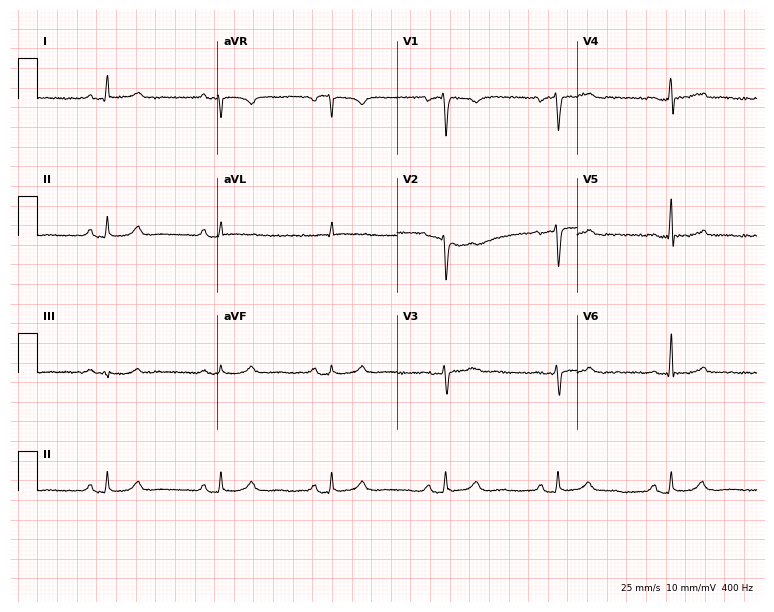
Resting 12-lead electrocardiogram. Patient: a 50-year-old woman. None of these six findings is recorded: first-degree AV block, right bundle branch block (RBBB), left bundle branch block (LBBB), sinus bradycardia, atrial fibrillation (AF), sinus tachycardia.